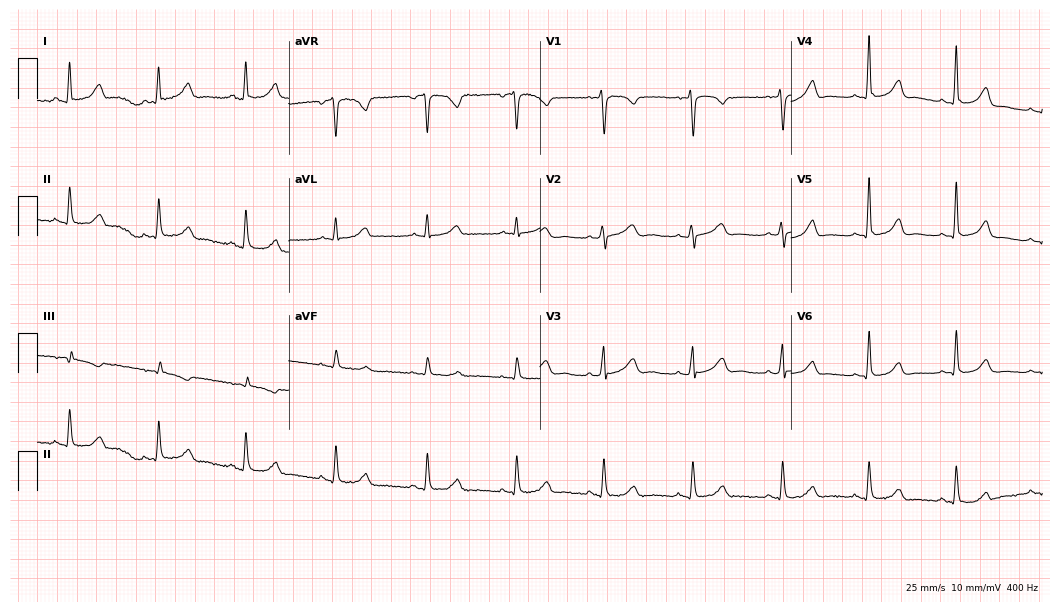
12-lead ECG from a female, 45 years old. Screened for six findings — first-degree AV block, right bundle branch block (RBBB), left bundle branch block (LBBB), sinus bradycardia, atrial fibrillation (AF), sinus tachycardia — none is recorded.